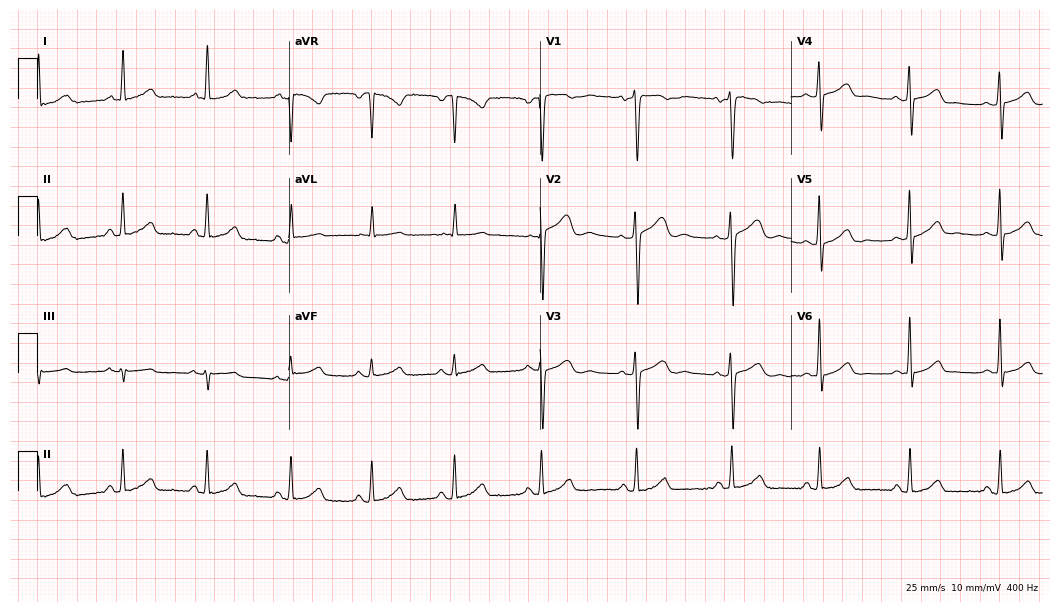
12-lead ECG from a 44-year-old woman (10.2-second recording at 400 Hz). Recorded interpretation: within normal limits.